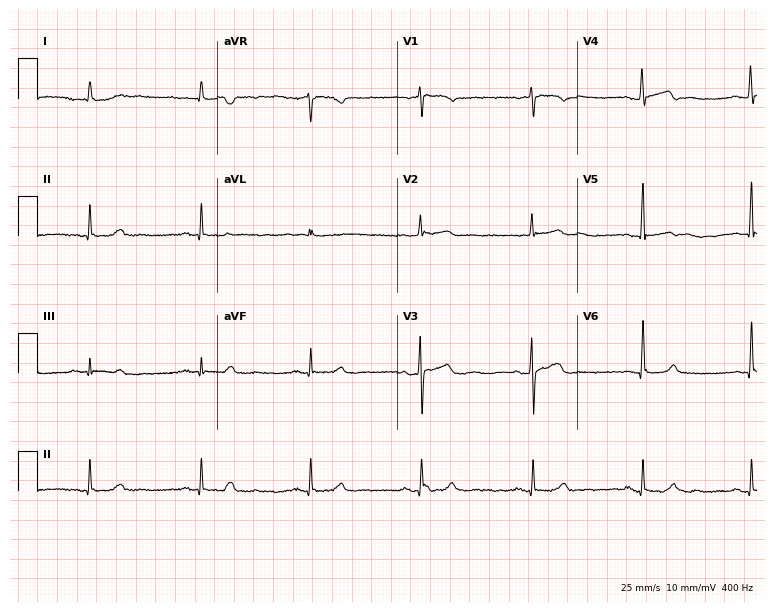
Standard 12-lead ECG recorded from a woman, 80 years old. Read as a normal ECG.